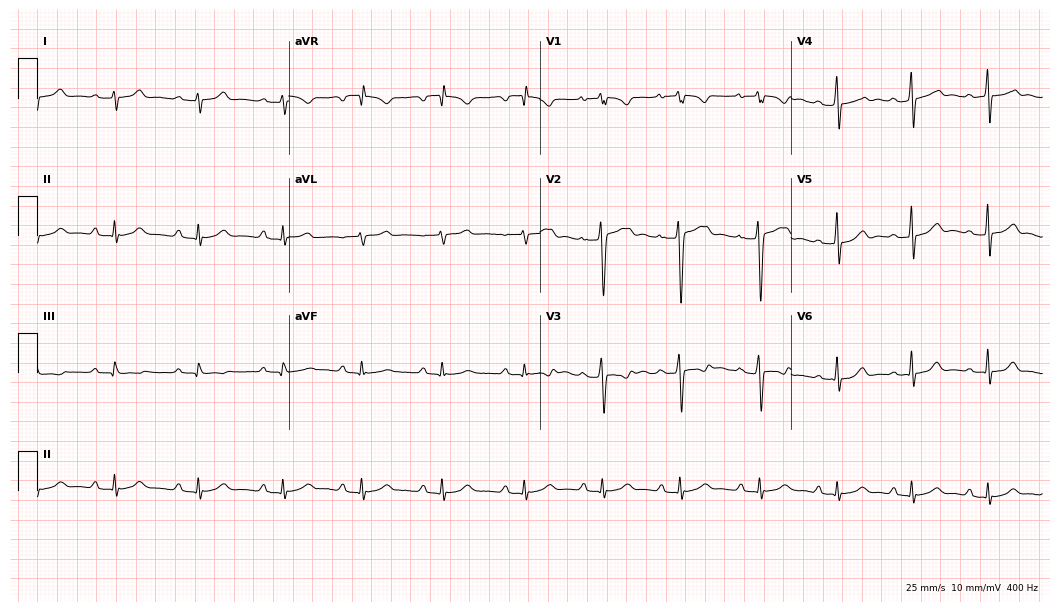
ECG (10.2-second recording at 400 Hz) — a 19-year-old male patient. Findings include first-degree AV block.